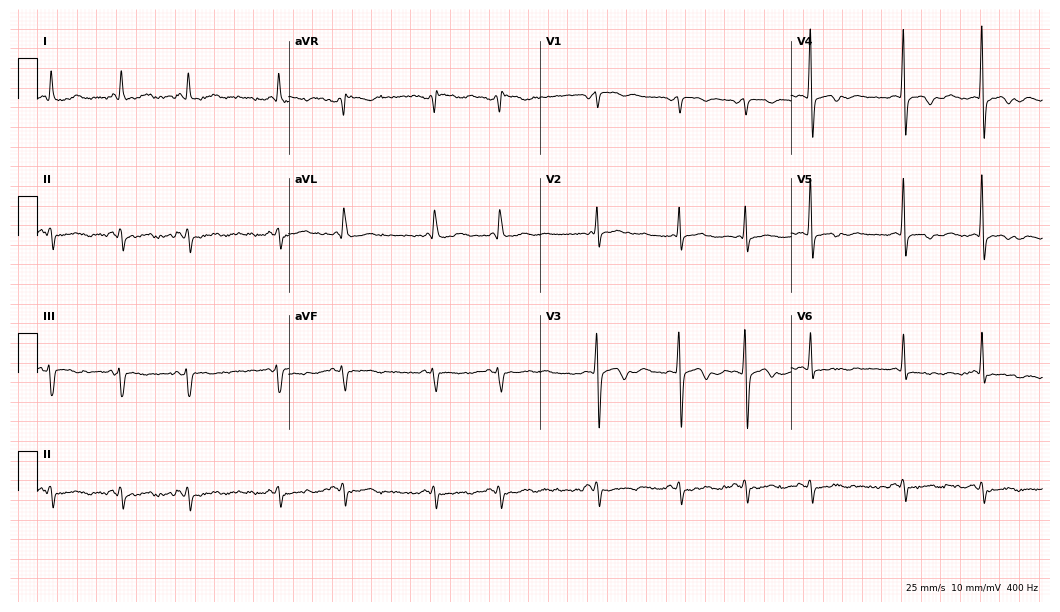
Electrocardiogram, a 54-year-old male patient. Of the six screened findings (first-degree AV block, right bundle branch block, left bundle branch block, sinus bradycardia, atrial fibrillation, sinus tachycardia), none is recorded.